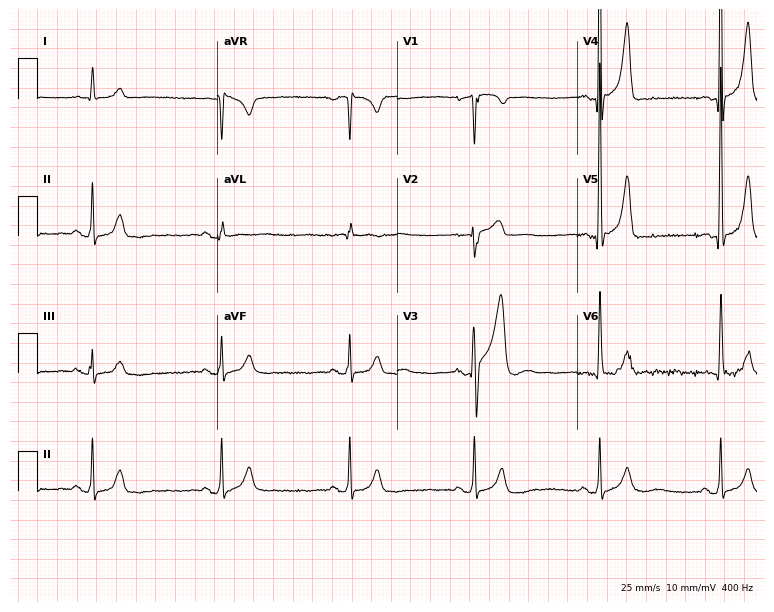
Electrocardiogram, an 81-year-old male. Interpretation includes sinus bradycardia (a sinus rate of 50 beats per minute or less).